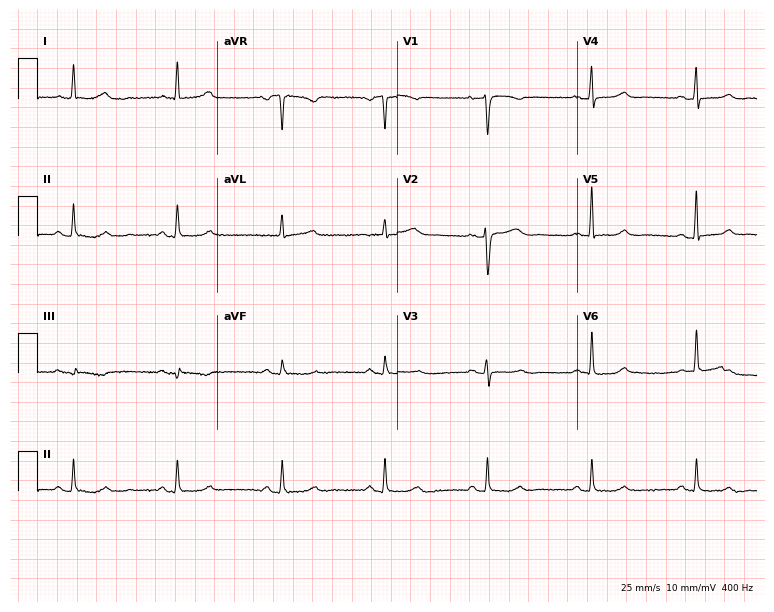
Electrocardiogram, a woman, 65 years old. Overall reading on record: normal ECG.